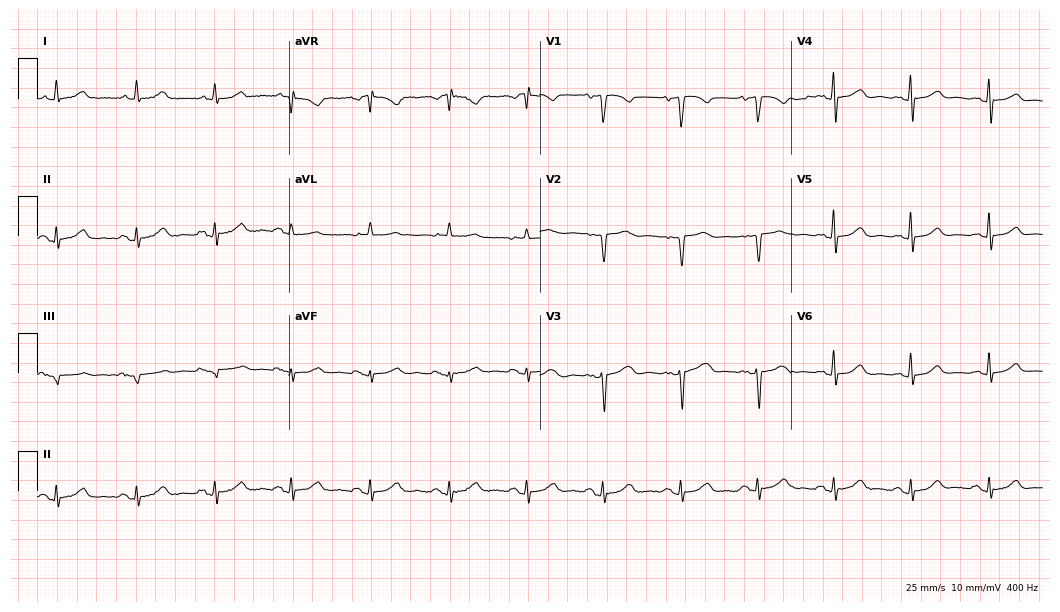
Resting 12-lead electrocardiogram (10.2-second recording at 400 Hz). Patient: a 76-year-old female. Read as a normal ECG.